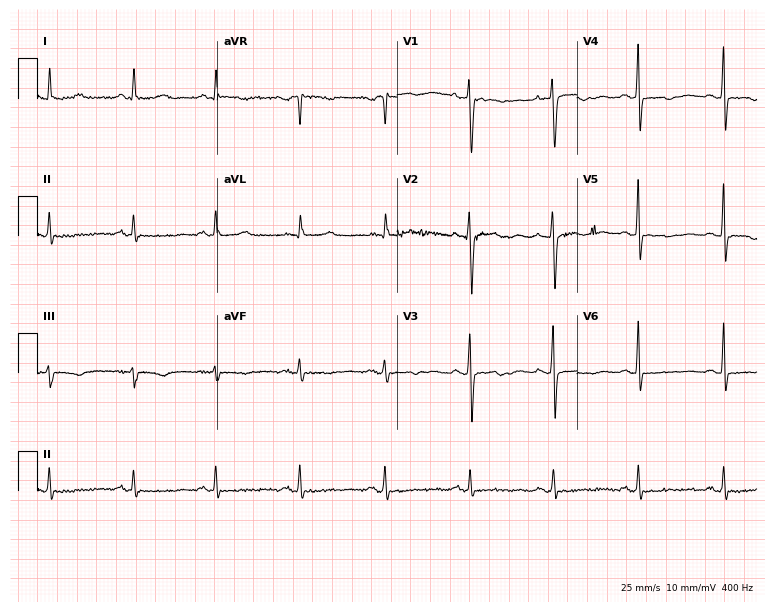
Resting 12-lead electrocardiogram. Patient: an 81-year-old woman. None of these six findings is recorded: first-degree AV block, right bundle branch block, left bundle branch block, sinus bradycardia, atrial fibrillation, sinus tachycardia. Other findings, if any, are not listed.